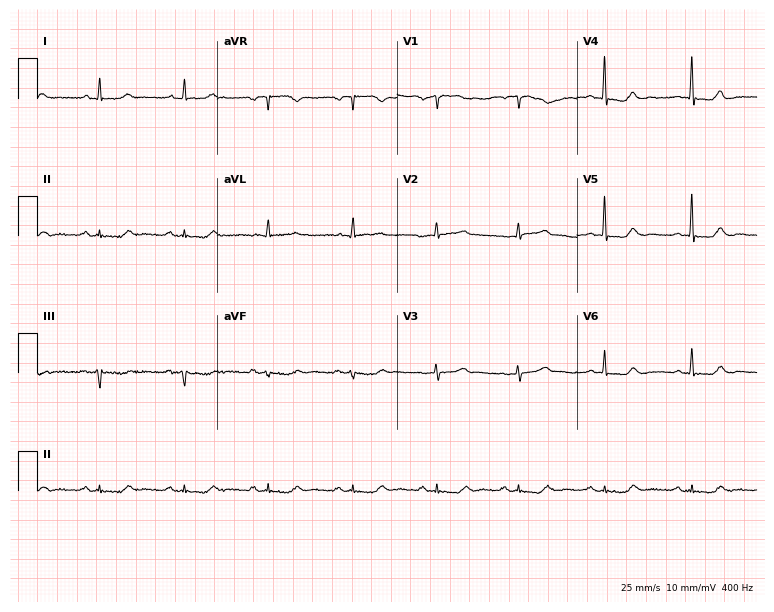
Electrocardiogram (7.3-second recording at 400 Hz), a woman, 74 years old. Overall reading on record: normal ECG.